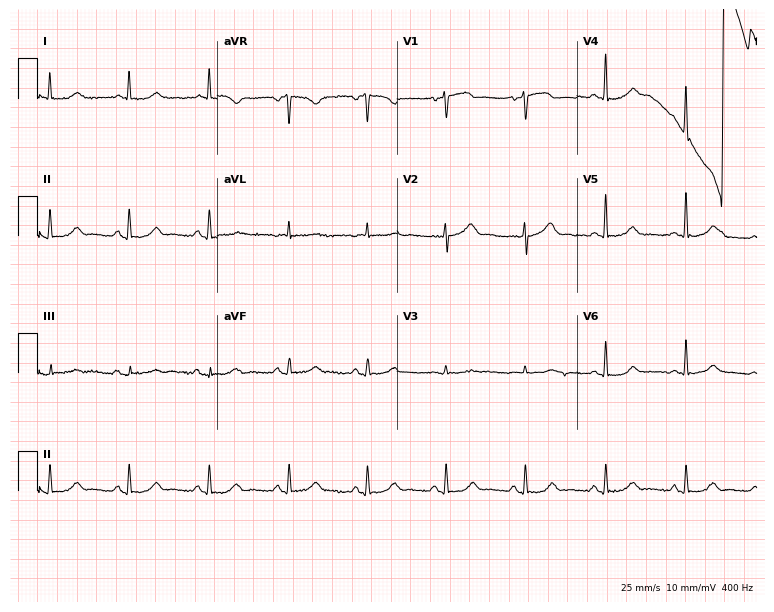
ECG — a 67-year-old woman. Labelled as a normal ECG.